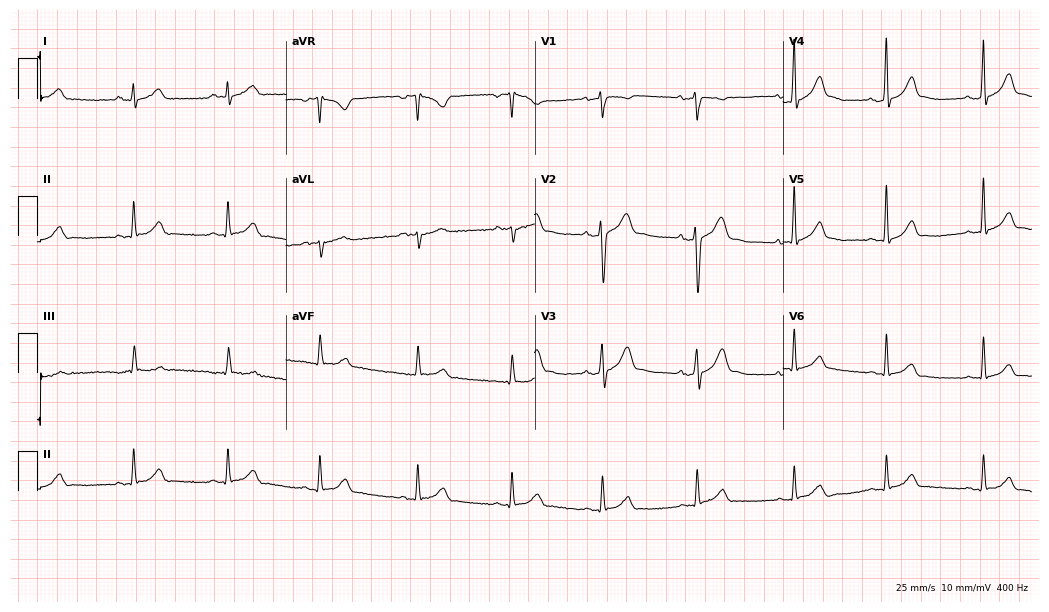
Standard 12-lead ECG recorded from a 33-year-old male (10.1-second recording at 400 Hz). None of these six findings is recorded: first-degree AV block, right bundle branch block, left bundle branch block, sinus bradycardia, atrial fibrillation, sinus tachycardia. Findings outside these six are not listed.